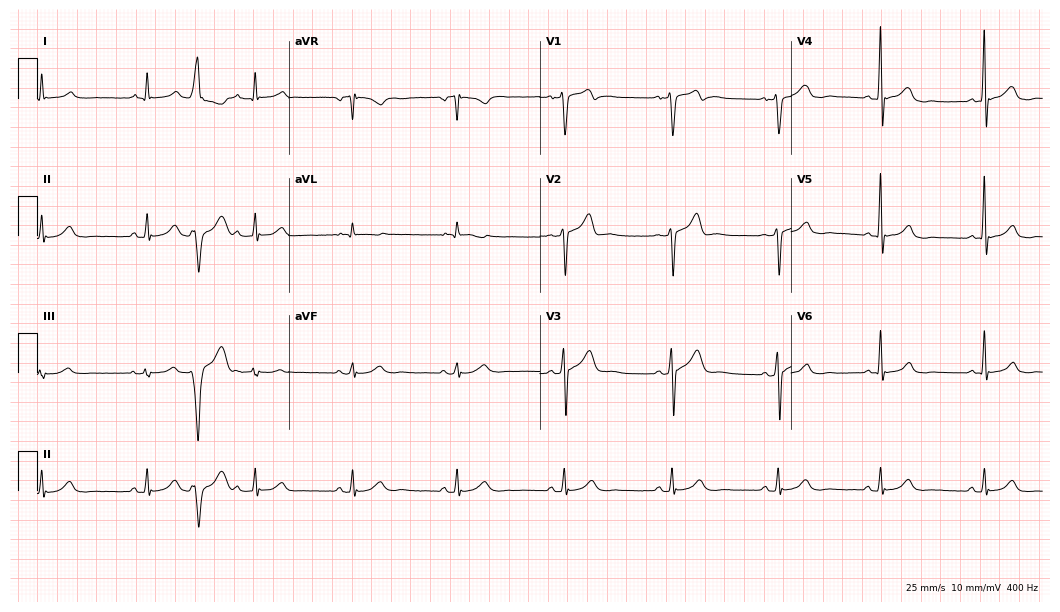
12-lead ECG from a male patient, 60 years old. No first-degree AV block, right bundle branch block, left bundle branch block, sinus bradycardia, atrial fibrillation or sinus tachycardia recorded for this tracing. Other findings, if any, are not listed.